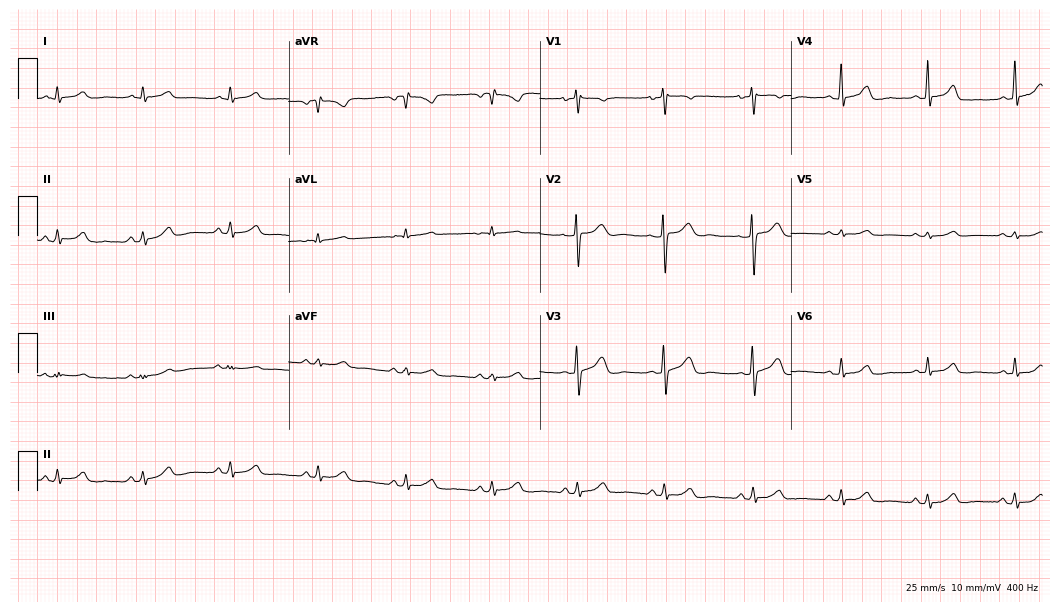
Standard 12-lead ECG recorded from a woman, 47 years old (10.2-second recording at 400 Hz). Read as a normal ECG.